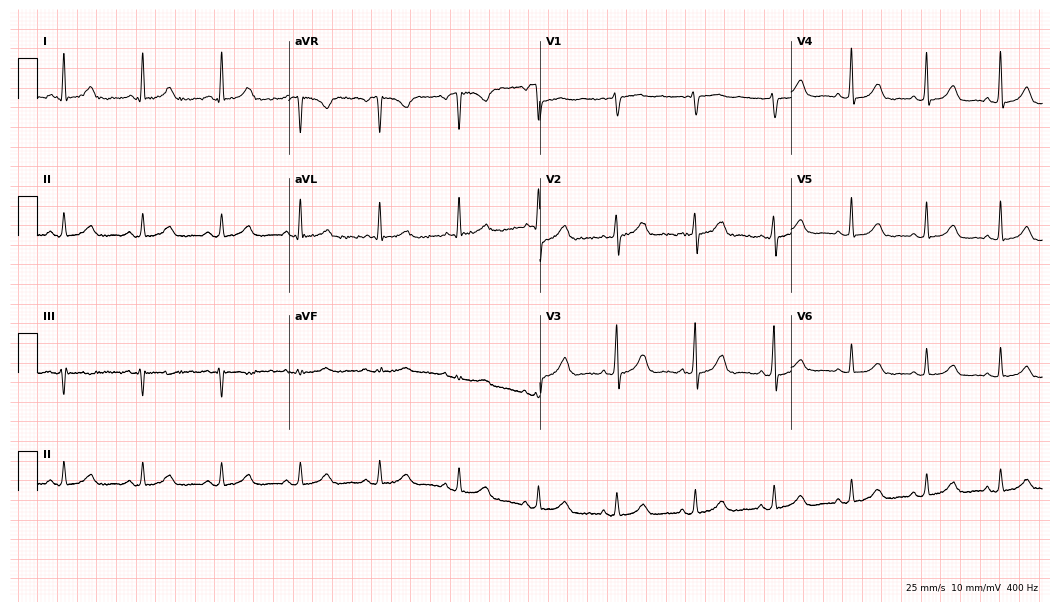
Resting 12-lead electrocardiogram (10.2-second recording at 400 Hz). Patient: a 59-year-old female. Read as a normal ECG.